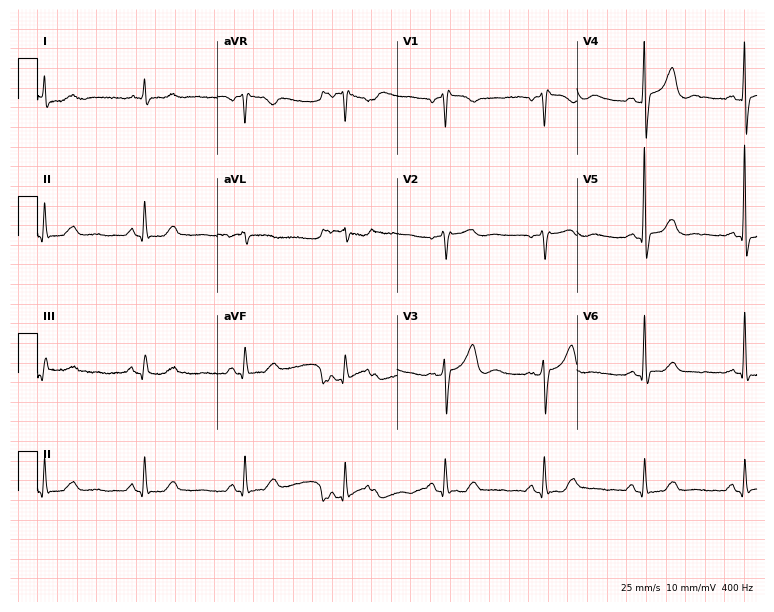
12-lead ECG from a male patient, 84 years old. No first-degree AV block, right bundle branch block (RBBB), left bundle branch block (LBBB), sinus bradycardia, atrial fibrillation (AF) or sinus tachycardia recorded for this tracing. Findings outside these six are not listed.